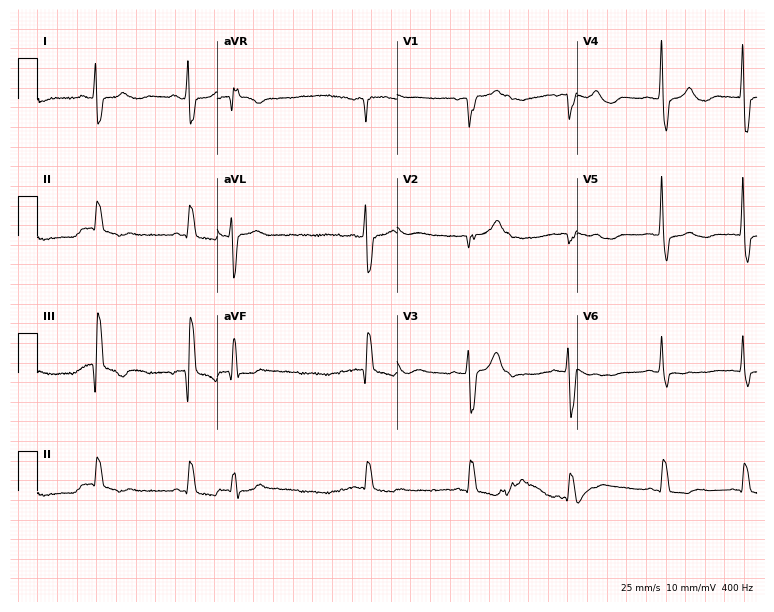
12-lead ECG from an 83-year-old female. No first-degree AV block, right bundle branch block (RBBB), left bundle branch block (LBBB), sinus bradycardia, atrial fibrillation (AF) or sinus tachycardia recorded for this tracing. Findings outside these six are not listed.